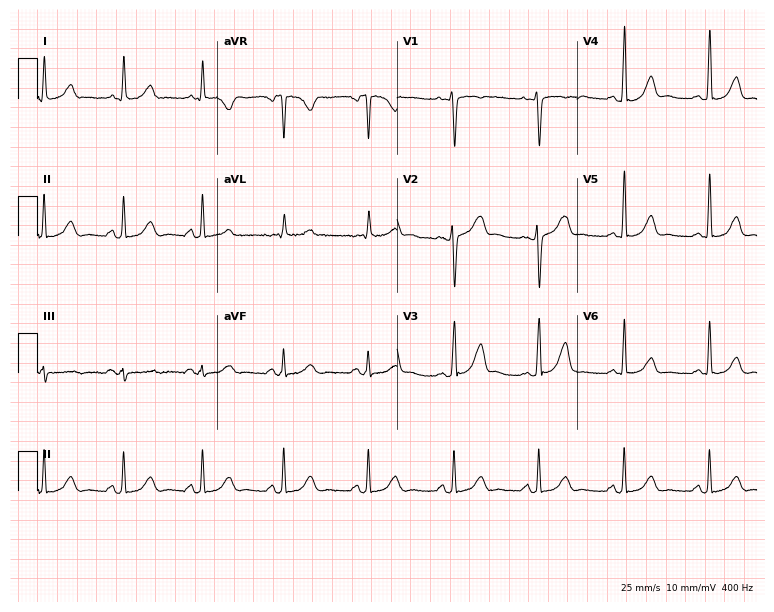
Resting 12-lead electrocardiogram (7.3-second recording at 400 Hz). Patient: a 34-year-old woman. None of these six findings is recorded: first-degree AV block, right bundle branch block (RBBB), left bundle branch block (LBBB), sinus bradycardia, atrial fibrillation (AF), sinus tachycardia. Findings outside these six are not listed.